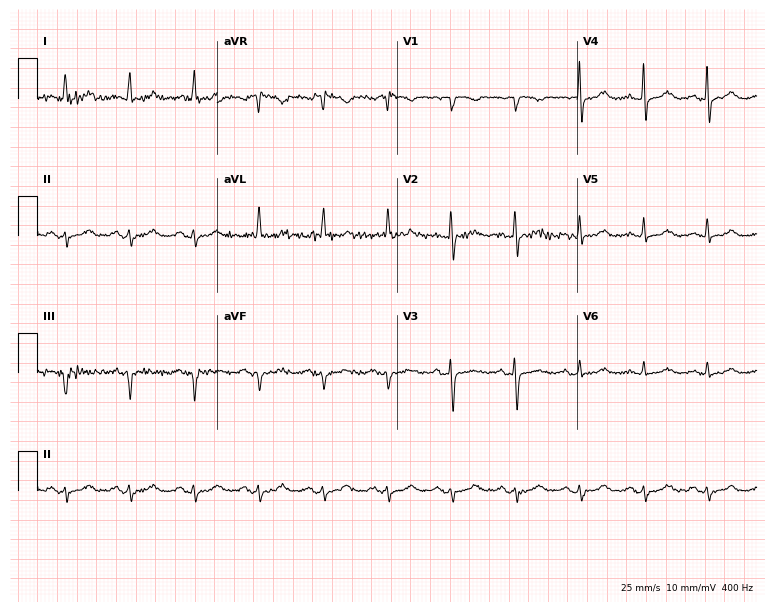
ECG (7.3-second recording at 400 Hz) — a 66-year-old woman. Screened for six findings — first-degree AV block, right bundle branch block (RBBB), left bundle branch block (LBBB), sinus bradycardia, atrial fibrillation (AF), sinus tachycardia — none is recorded. Findings outside these six are not listed.